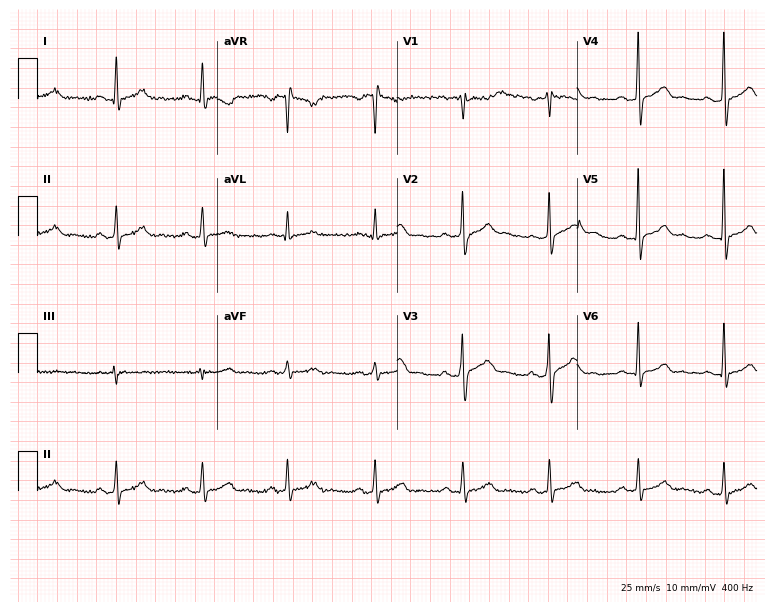
12-lead ECG from a male, 38 years old. Recorded interpretation: within normal limits.